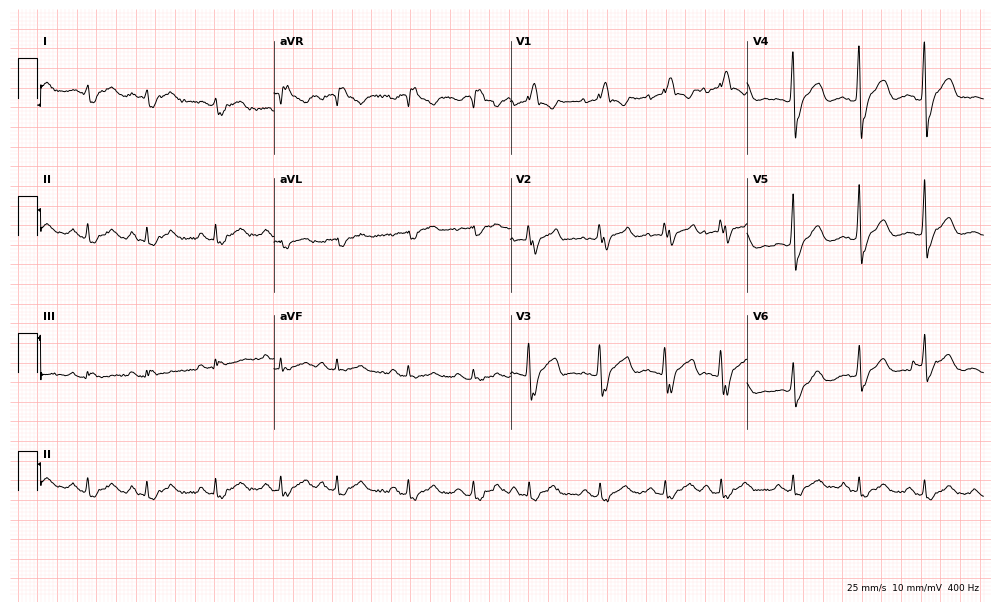
12-lead ECG from a man, 64 years old. Shows right bundle branch block (RBBB).